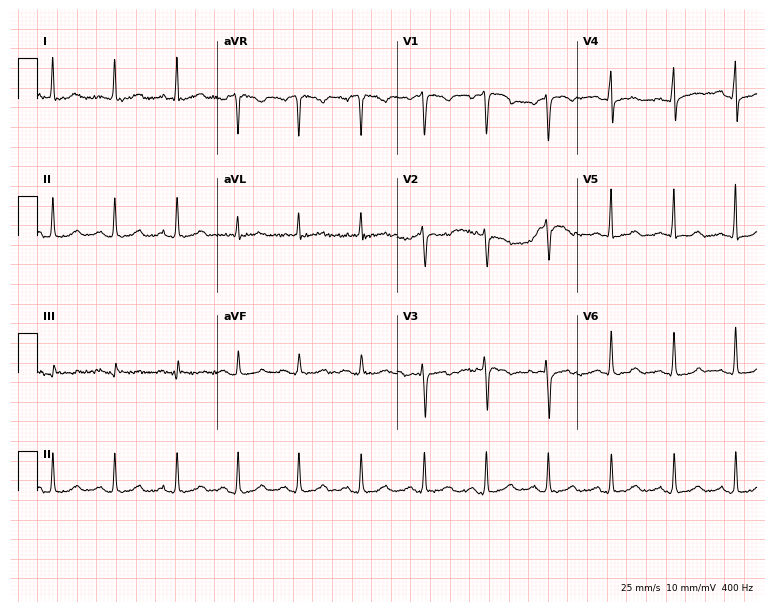
Standard 12-lead ECG recorded from a female, 42 years old (7.3-second recording at 400 Hz). Read as a normal ECG.